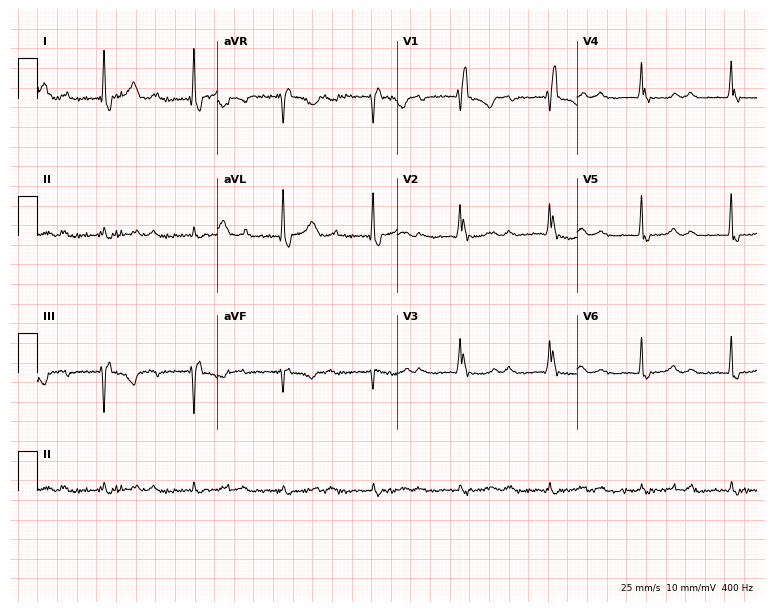
Resting 12-lead electrocardiogram. Patient: a 69-year-old female. None of these six findings is recorded: first-degree AV block, right bundle branch block, left bundle branch block, sinus bradycardia, atrial fibrillation, sinus tachycardia. Other findings, if any, are not listed.